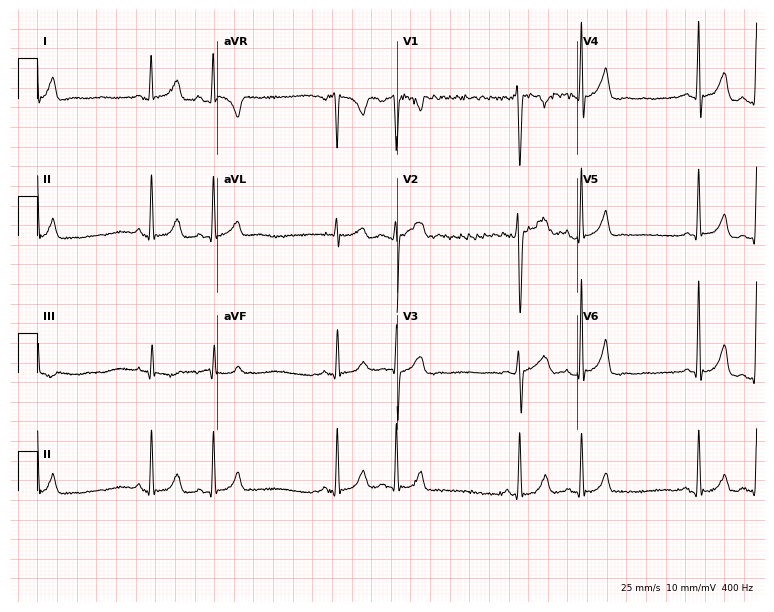
12-lead ECG from a 23-year-old male patient (7.3-second recording at 400 Hz). Recorded interpretation: within normal limits.